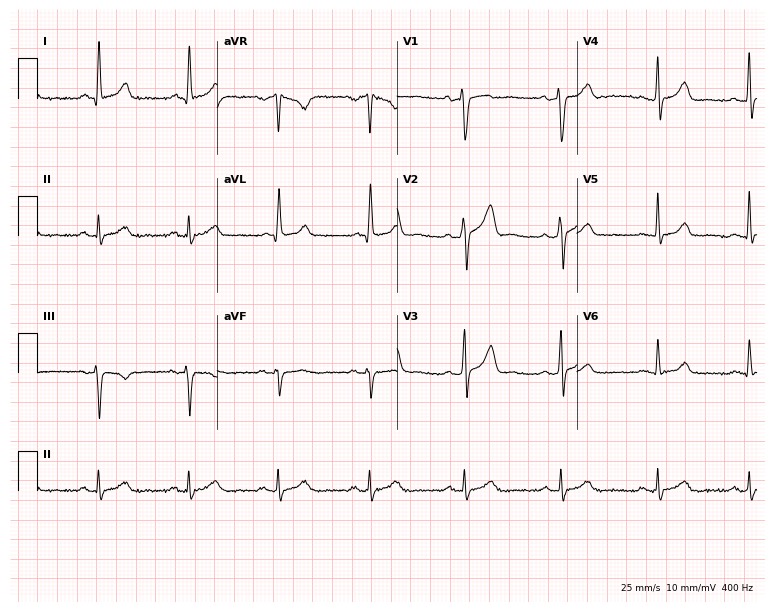
ECG — a 53-year-old male. Labelled as a normal ECG.